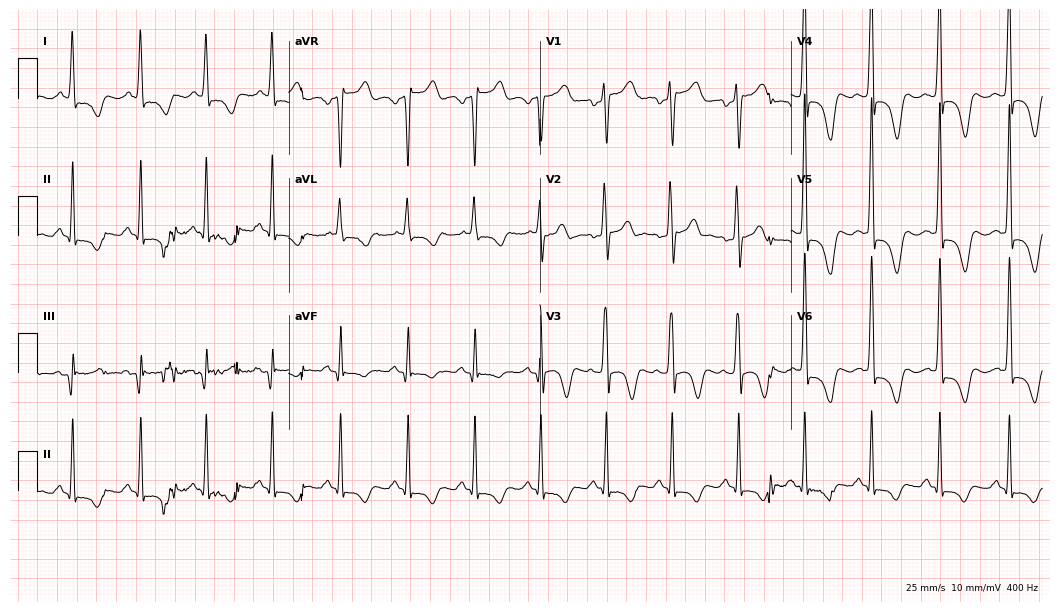
Standard 12-lead ECG recorded from a male patient, 42 years old (10.2-second recording at 400 Hz). None of these six findings is recorded: first-degree AV block, right bundle branch block, left bundle branch block, sinus bradycardia, atrial fibrillation, sinus tachycardia.